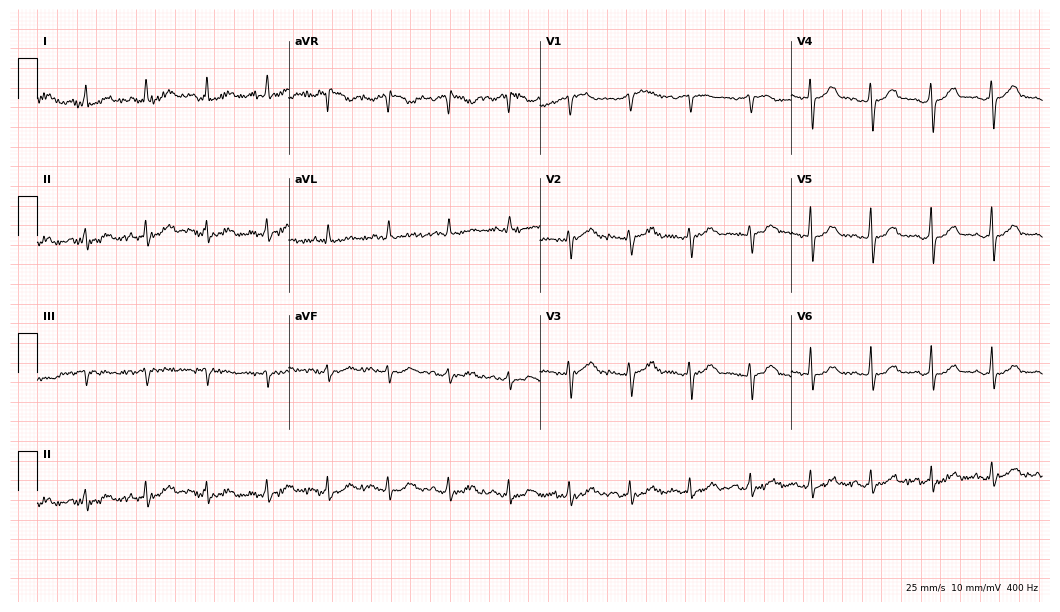
Electrocardiogram, a female patient, 47 years old. Overall reading on record: normal ECG.